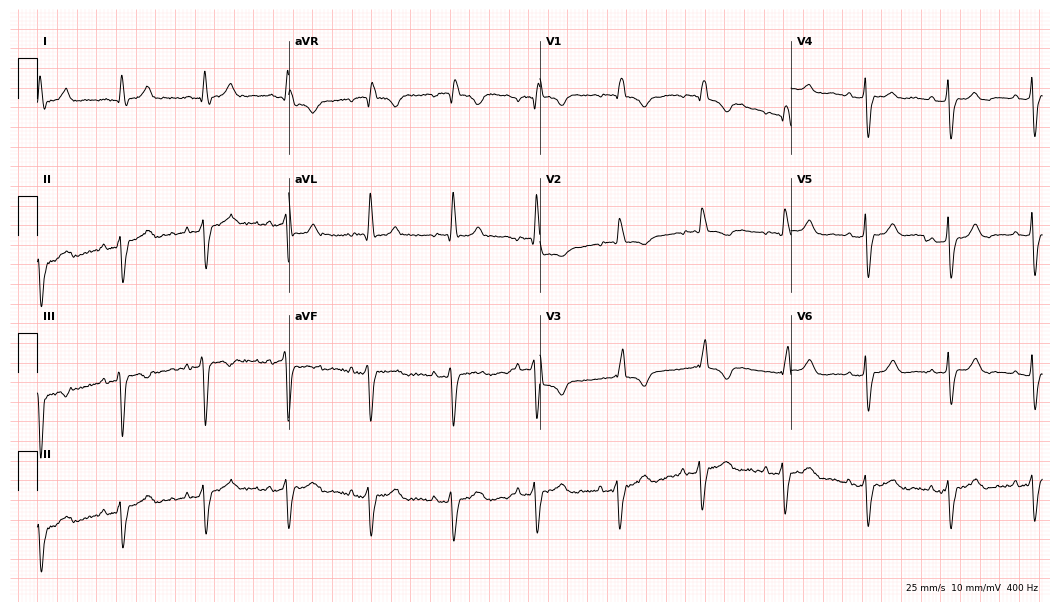
12-lead ECG (10.2-second recording at 400 Hz) from a female, 79 years old. Findings include right bundle branch block (RBBB).